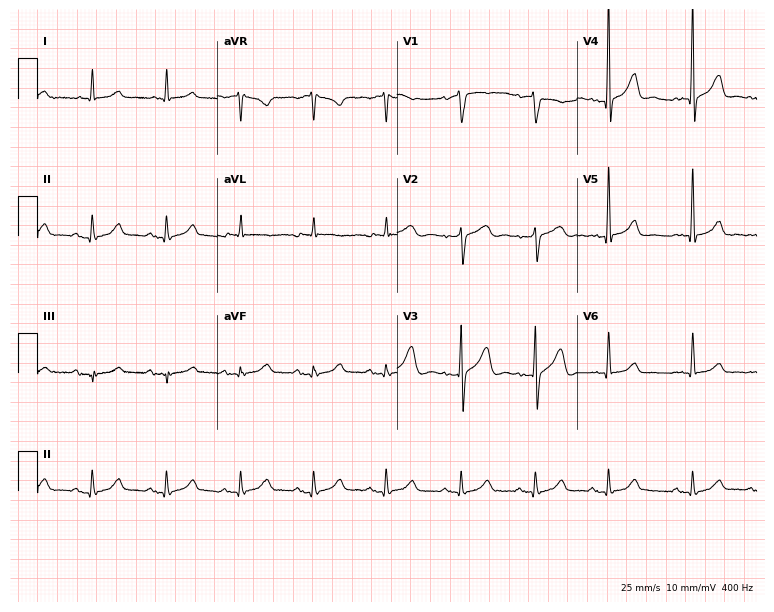
Standard 12-lead ECG recorded from a man, 75 years old (7.3-second recording at 400 Hz). Read as a normal ECG.